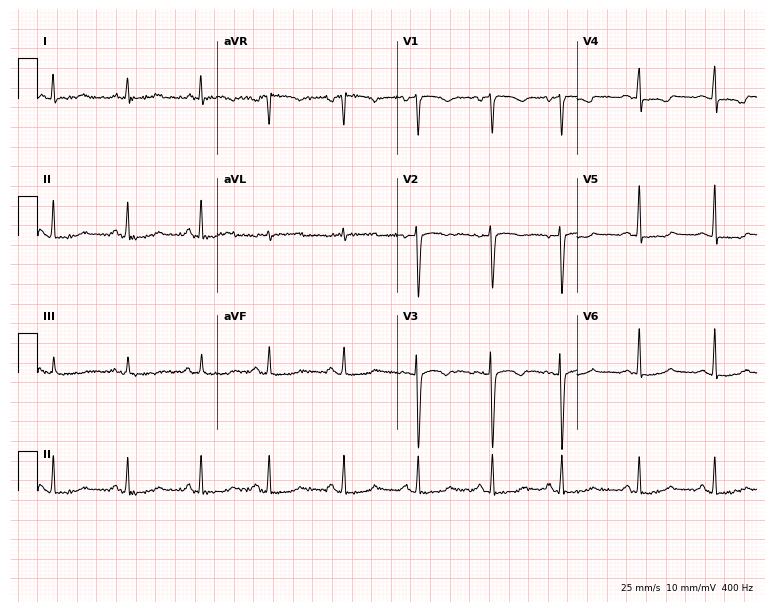
Electrocardiogram (7.3-second recording at 400 Hz), a female, 39 years old. Of the six screened findings (first-degree AV block, right bundle branch block (RBBB), left bundle branch block (LBBB), sinus bradycardia, atrial fibrillation (AF), sinus tachycardia), none is recorded.